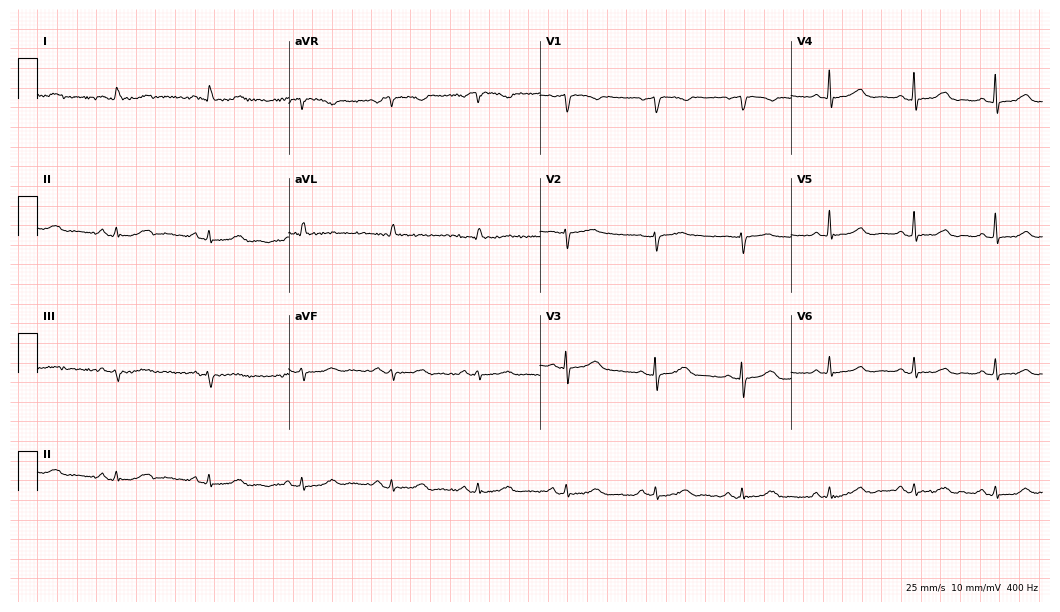
ECG — an 81-year-old female. Screened for six findings — first-degree AV block, right bundle branch block, left bundle branch block, sinus bradycardia, atrial fibrillation, sinus tachycardia — none is recorded. Findings outside these six are not listed.